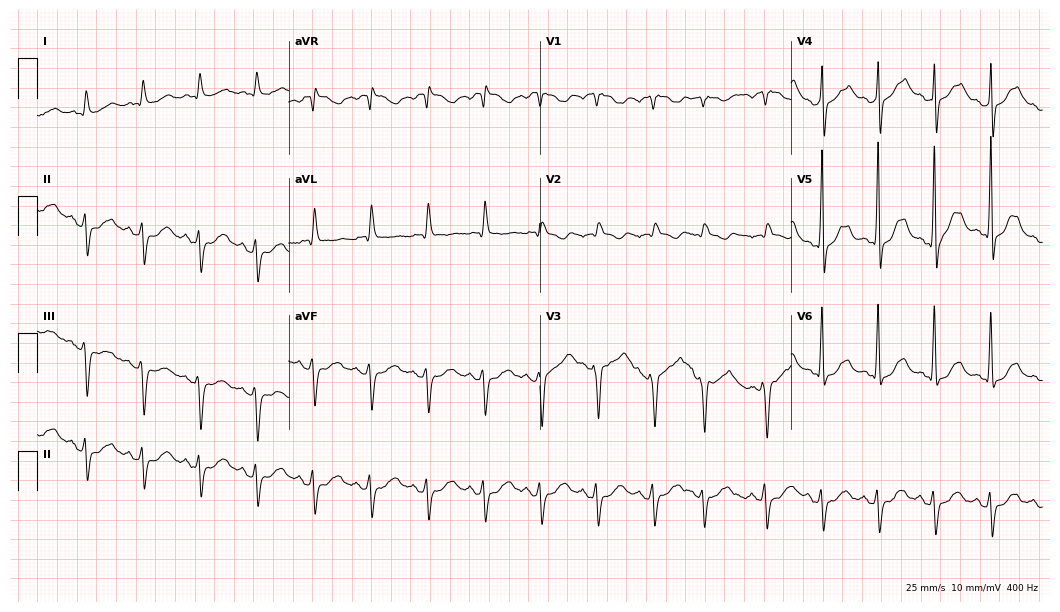
Resting 12-lead electrocardiogram. Patient: a man, 54 years old. The tracing shows right bundle branch block, sinus tachycardia (a sinus rate of 100 beats per minute or more).